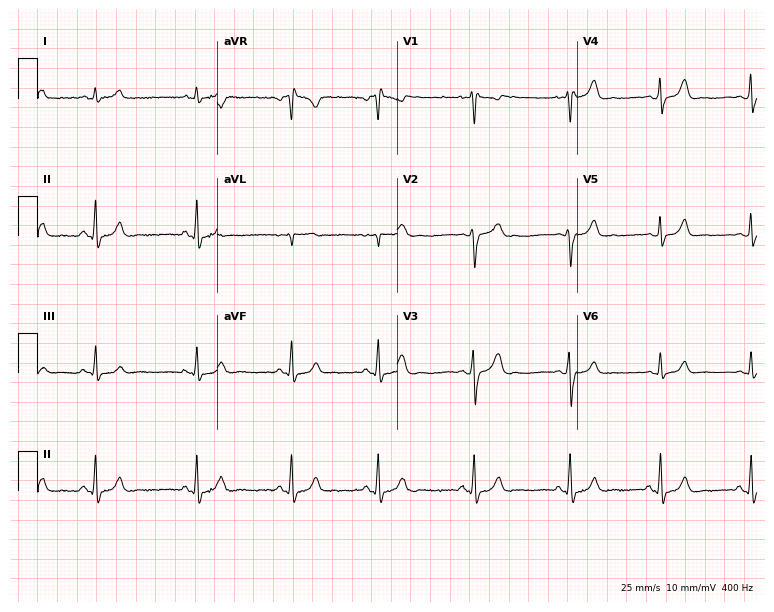
ECG (7.3-second recording at 400 Hz) — a 21-year-old female. Screened for six findings — first-degree AV block, right bundle branch block (RBBB), left bundle branch block (LBBB), sinus bradycardia, atrial fibrillation (AF), sinus tachycardia — none is recorded.